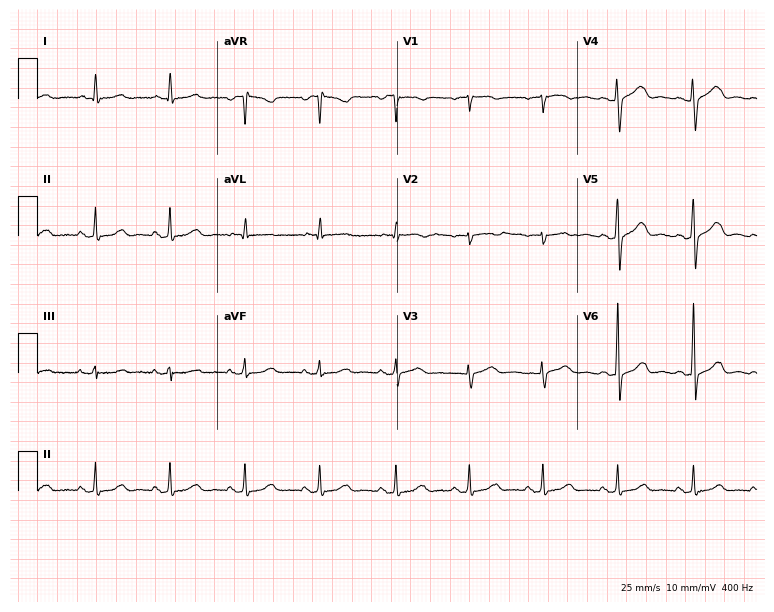
ECG (7.3-second recording at 400 Hz) — a 55-year-old female patient. Screened for six findings — first-degree AV block, right bundle branch block, left bundle branch block, sinus bradycardia, atrial fibrillation, sinus tachycardia — none is recorded. Other findings, if any, are not listed.